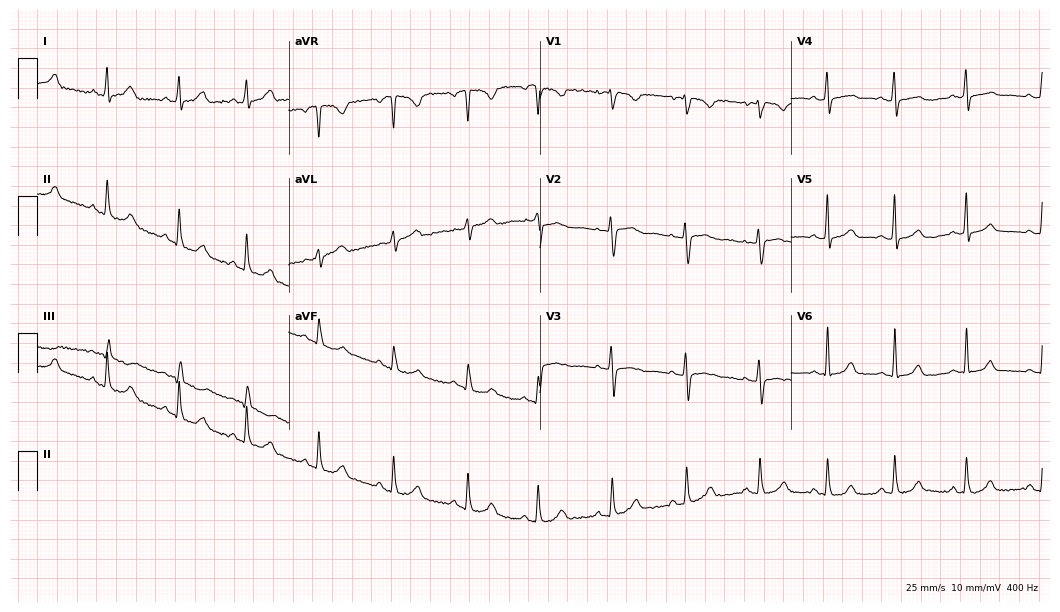
12-lead ECG from a 29-year-old woman. Recorded interpretation: within normal limits.